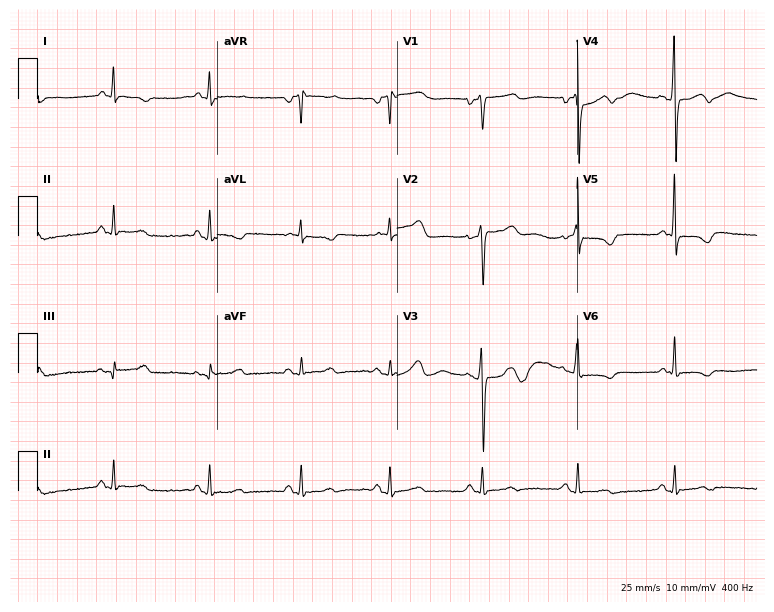
ECG — a 65-year-old male patient. Screened for six findings — first-degree AV block, right bundle branch block, left bundle branch block, sinus bradycardia, atrial fibrillation, sinus tachycardia — none is recorded.